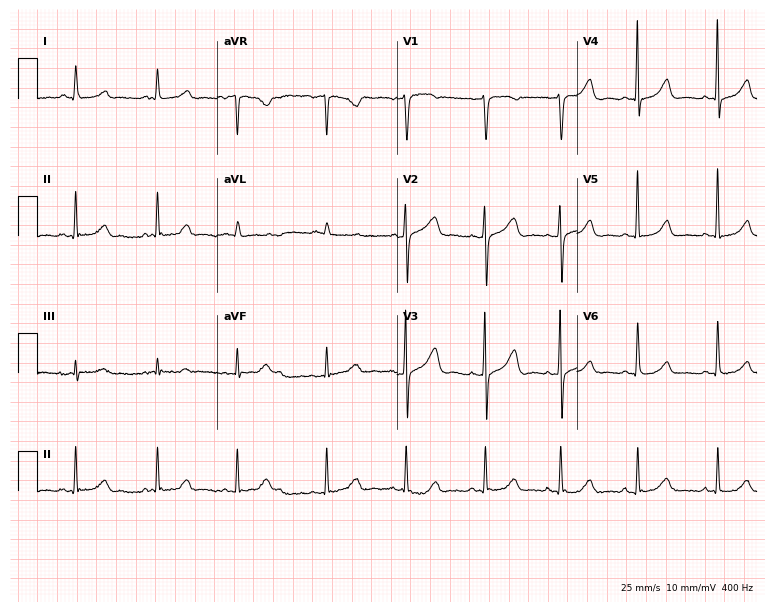
12-lead ECG (7.3-second recording at 400 Hz) from a female, 80 years old. Labelled as a normal ECG.